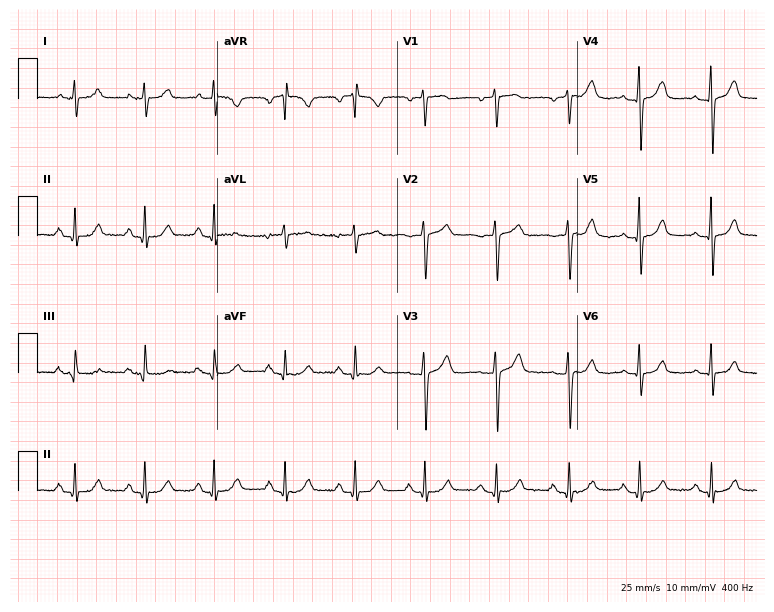
Standard 12-lead ECG recorded from a female patient, 58 years old. Read as a normal ECG.